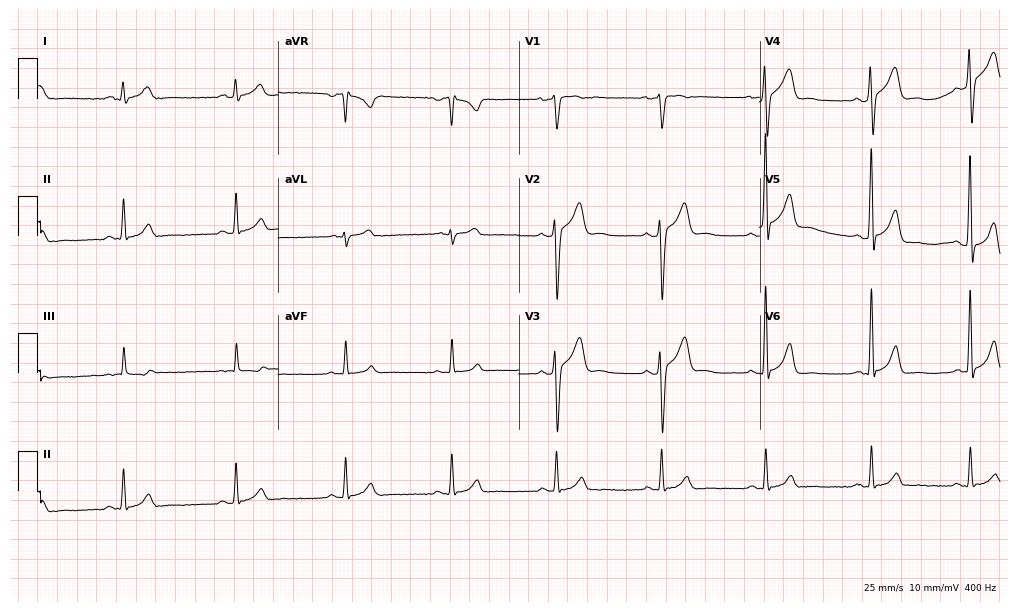
12-lead ECG from a male patient, 33 years old. Labelled as a normal ECG.